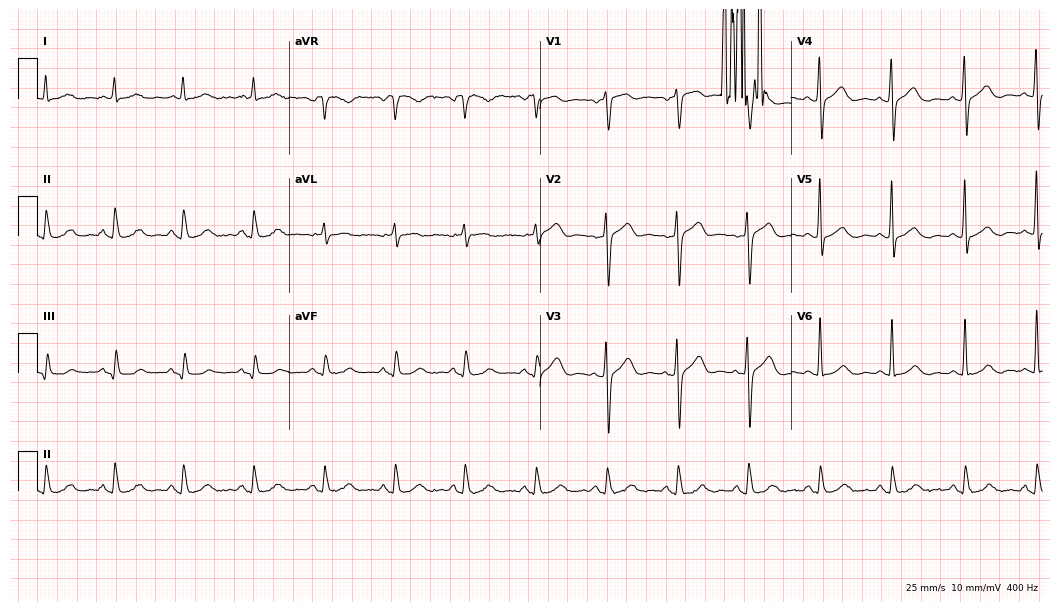
12-lead ECG from a male, 77 years old (10.2-second recording at 400 Hz). Recorded interpretation: within normal limits.